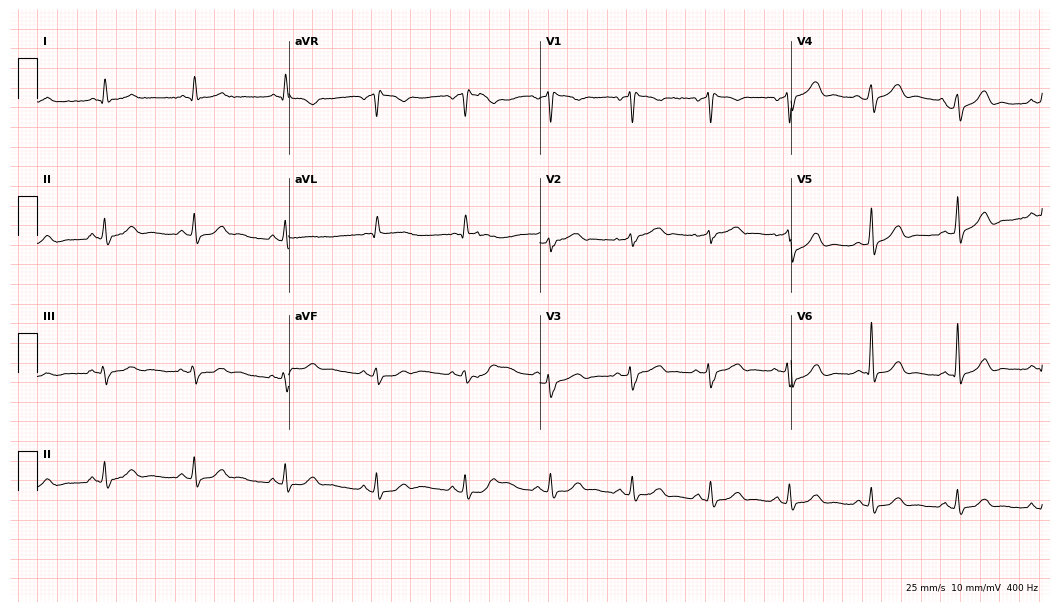
Standard 12-lead ECG recorded from a 63-year-old male patient. None of these six findings is recorded: first-degree AV block, right bundle branch block, left bundle branch block, sinus bradycardia, atrial fibrillation, sinus tachycardia.